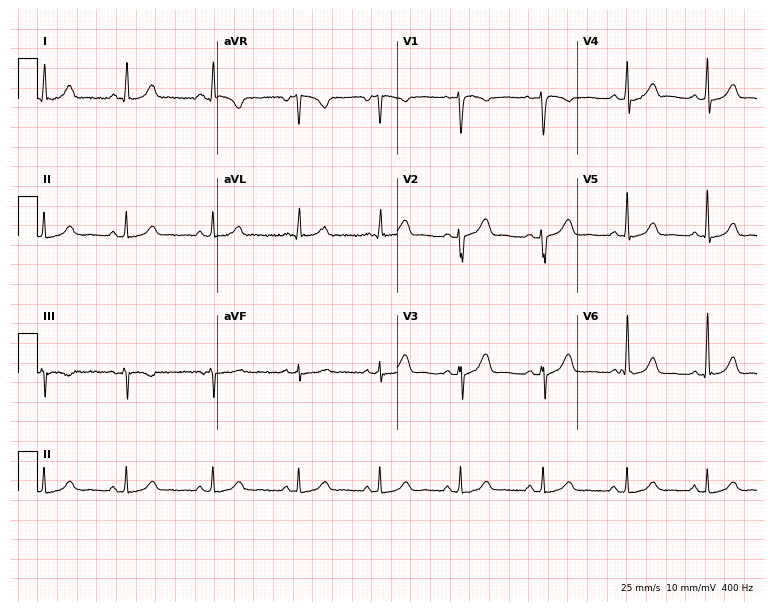
Resting 12-lead electrocardiogram. Patient: a 50-year-old woman. None of these six findings is recorded: first-degree AV block, right bundle branch block, left bundle branch block, sinus bradycardia, atrial fibrillation, sinus tachycardia. Only these six findings were labelled.